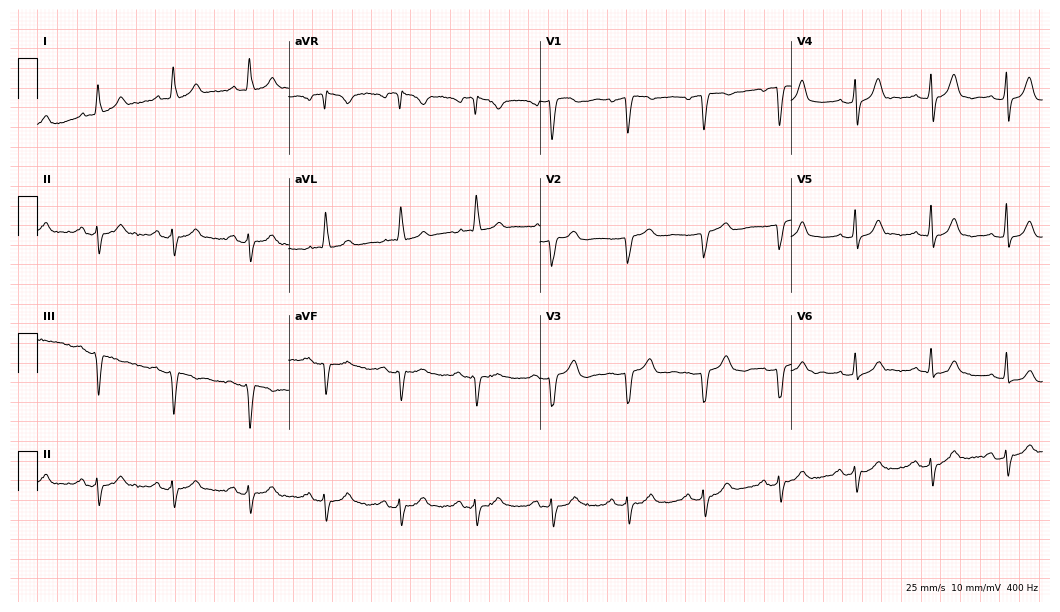
12-lead ECG from a female, 83 years old. No first-degree AV block, right bundle branch block, left bundle branch block, sinus bradycardia, atrial fibrillation or sinus tachycardia recorded for this tracing. Other findings, if any, are not listed.